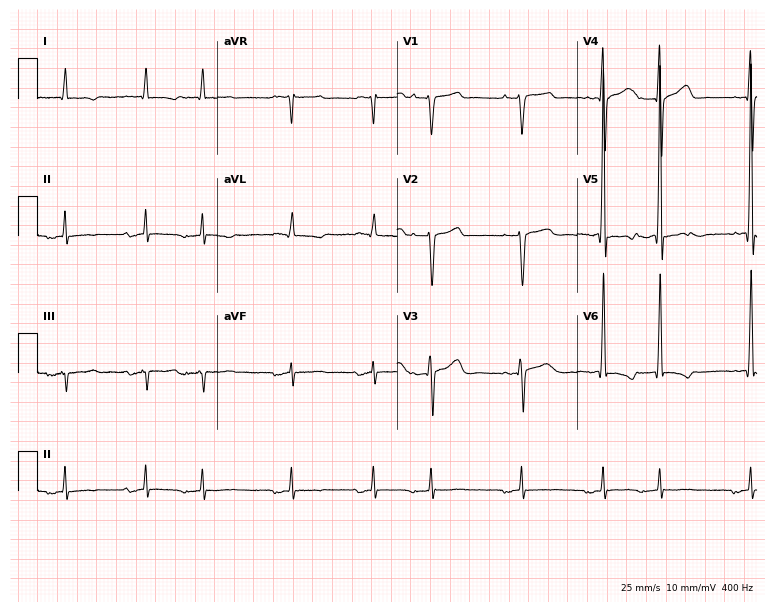
Standard 12-lead ECG recorded from a 76-year-old male. None of these six findings is recorded: first-degree AV block, right bundle branch block, left bundle branch block, sinus bradycardia, atrial fibrillation, sinus tachycardia.